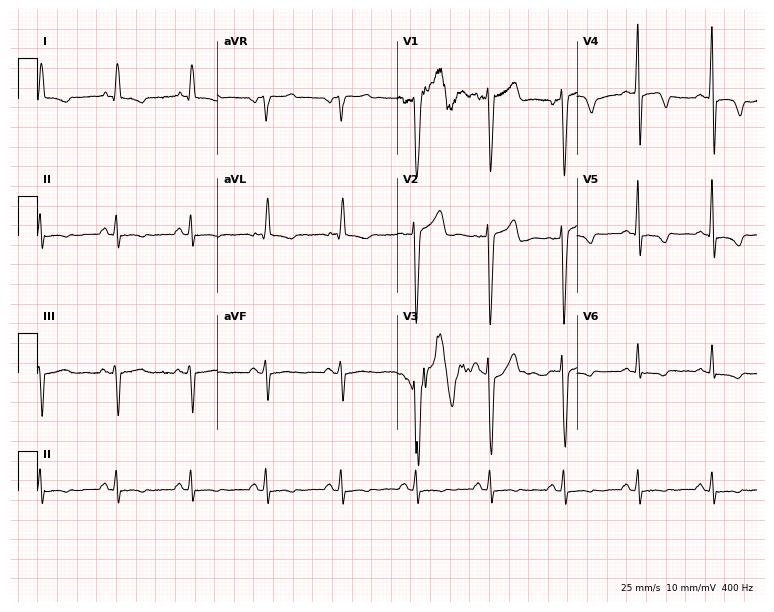
Electrocardiogram, a 70-year-old male patient. Of the six screened findings (first-degree AV block, right bundle branch block, left bundle branch block, sinus bradycardia, atrial fibrillation, sinus tachycardia), none is recorded.